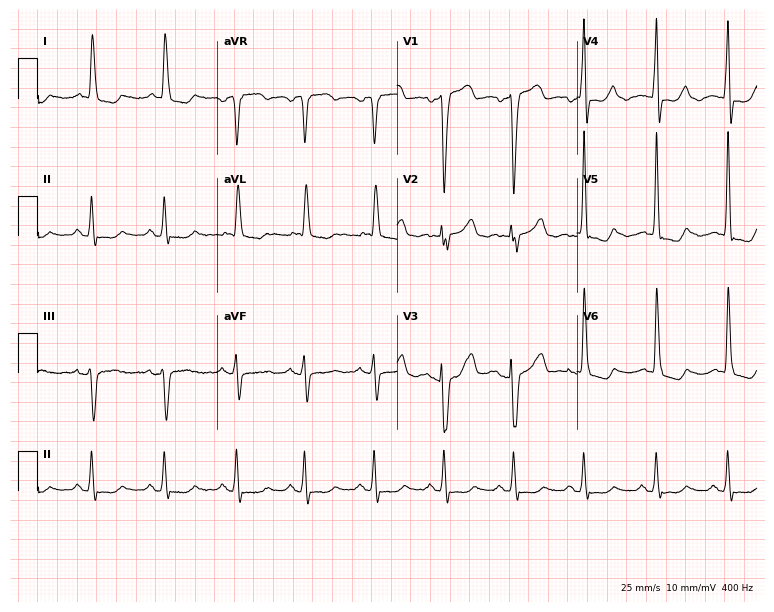
ECG — an 83-year-old female patient. Screened for six findings — first-degree AV block, right bundle branch block, left bundle branch block, sinus bradycardia, atrial fibrillation, sinus tachycardia — none is recorded.